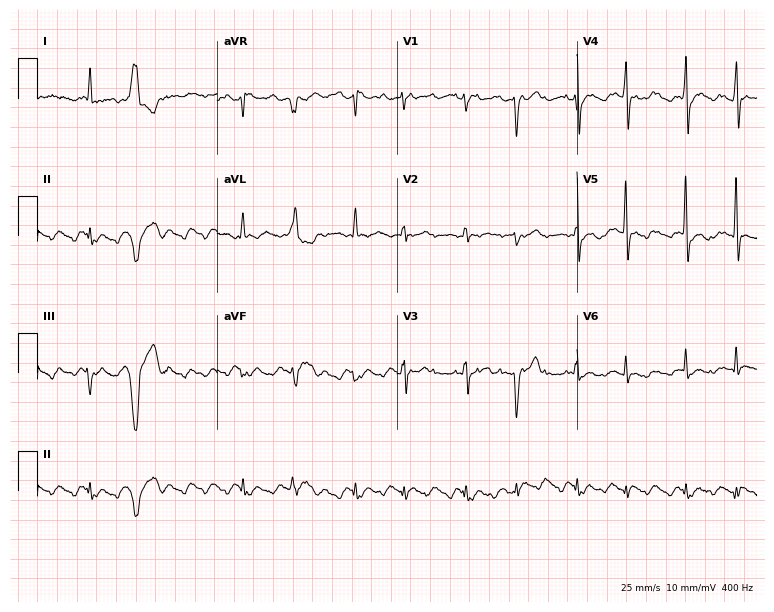
Electrocardiogram, a male, 74 years old. Of the six screened findings (first-degree AV block, right bundle branch block, left bundle branch block, sinus bradycardia, atrial fibrillation, sinus tachycardia), none is recorded.